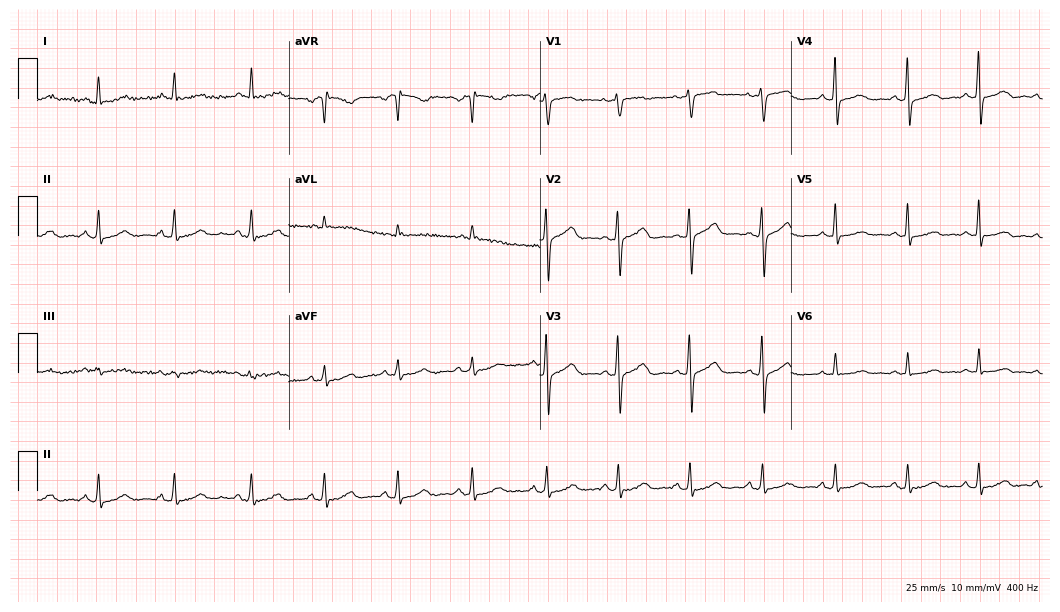
Standard 12-lead ECG recorded from a woman, 58 years old. Read as a normal ECG.